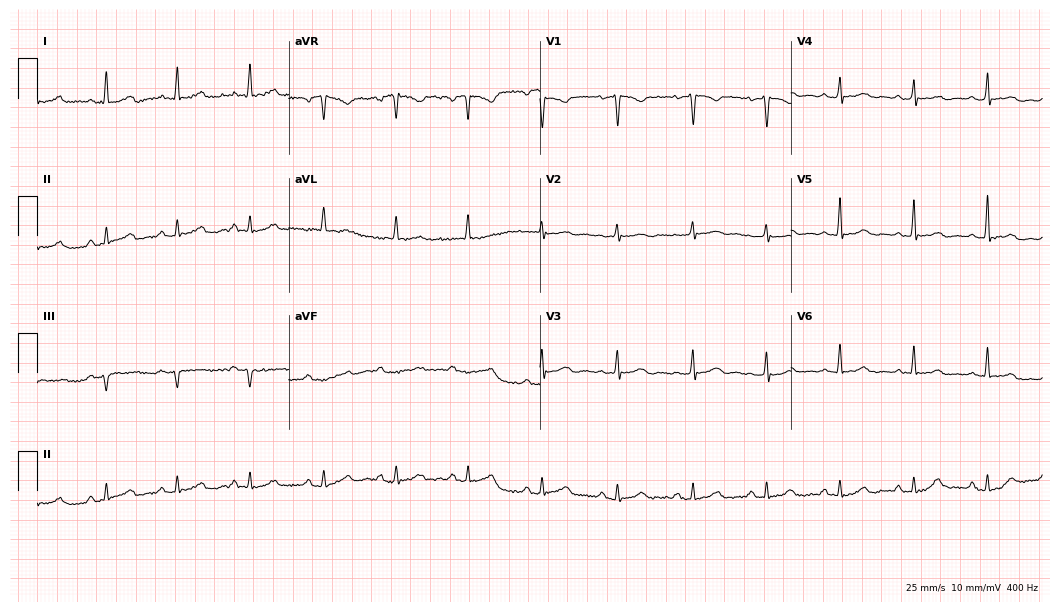
12-lead ECG from a 50-year-old woman (10.2-second recording at 400 Hz). No first-degree AV block, right bundle branch block, left bundle branch block, sinus bradycardia, atrial fibrillation or sinus tachycardia recorded for this tracing.